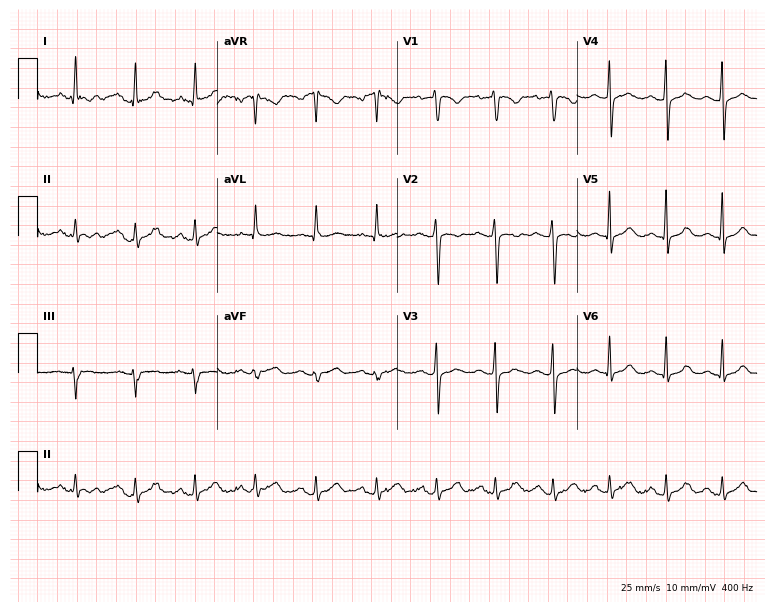
ECG — a woman, 36 years old. Screened for six findings — first-degree AV block, right bundle branch block (RBBB), left bundle branch block (LBBB), sinus bradycardia, atrial fibrillation (AF), sinus tachycardia — none is recorded.